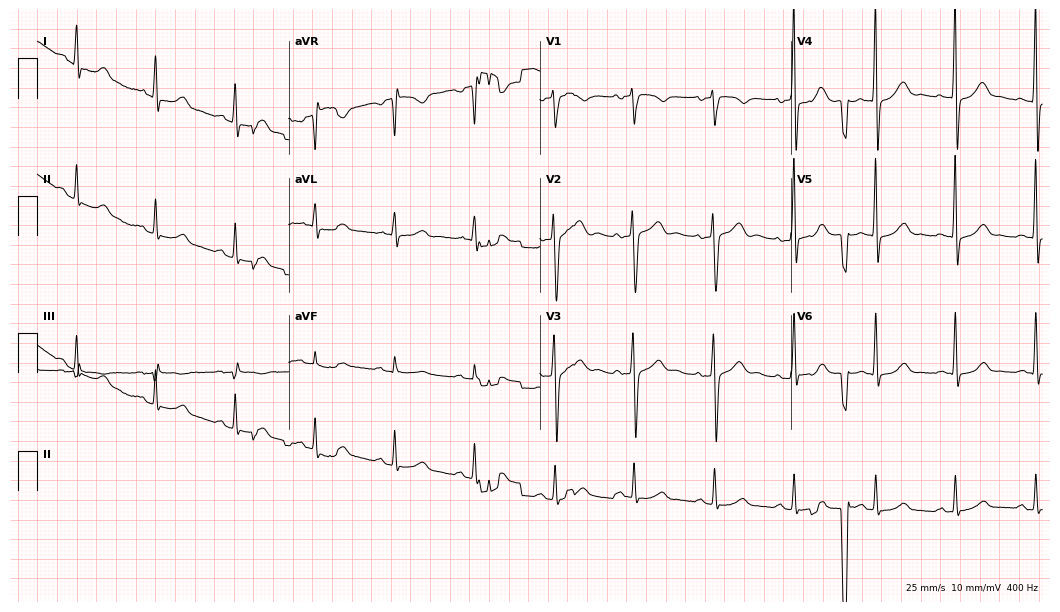
12-lead ECG (10.2-second recording at 400 Hz) from a female, 72 years old. Labelled as a normal ECG.